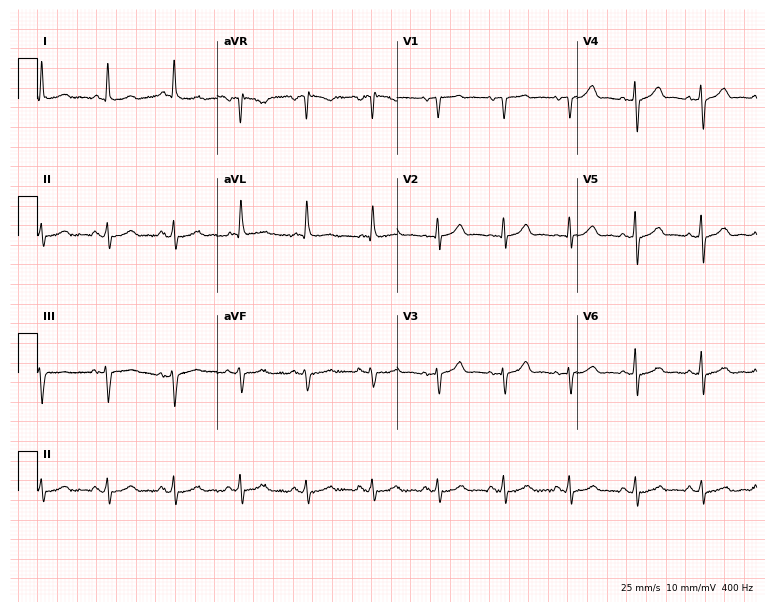
12-lead ECG from a 79-year-old woman (7.3-second recording at 400 Hz). Recorded interpretation: within normal limits.